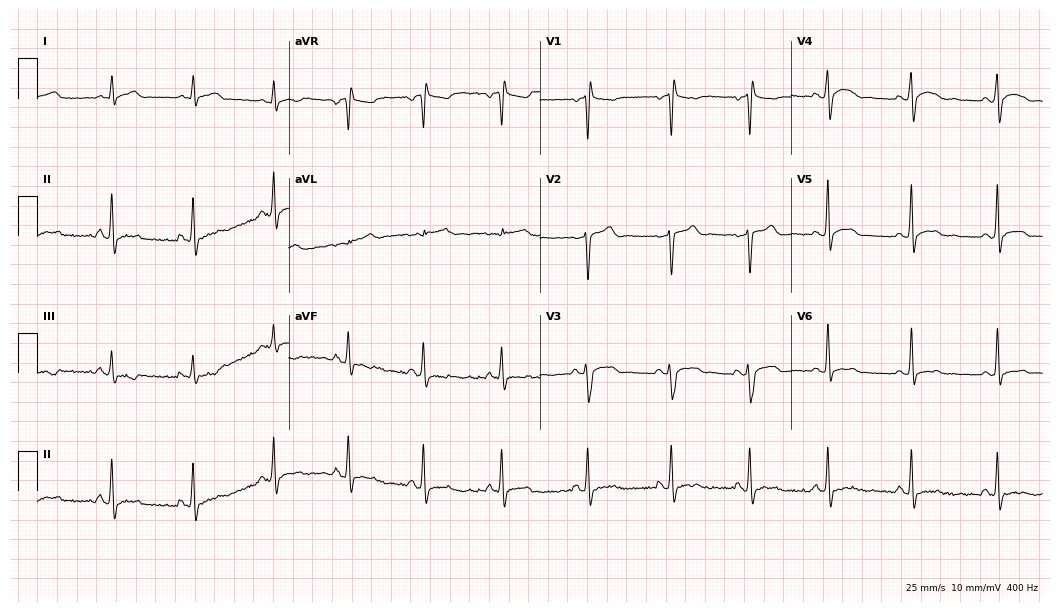
ECG — a male, 29 years old. Screened for six findings — first-degree AV block, right bundle branch block (RBBB), left bundle branch block (LBBB), sinus bradycardia, atrial fibrillation (AF), sinus tachycardia — none is recorded. Only these six findings were labelled.